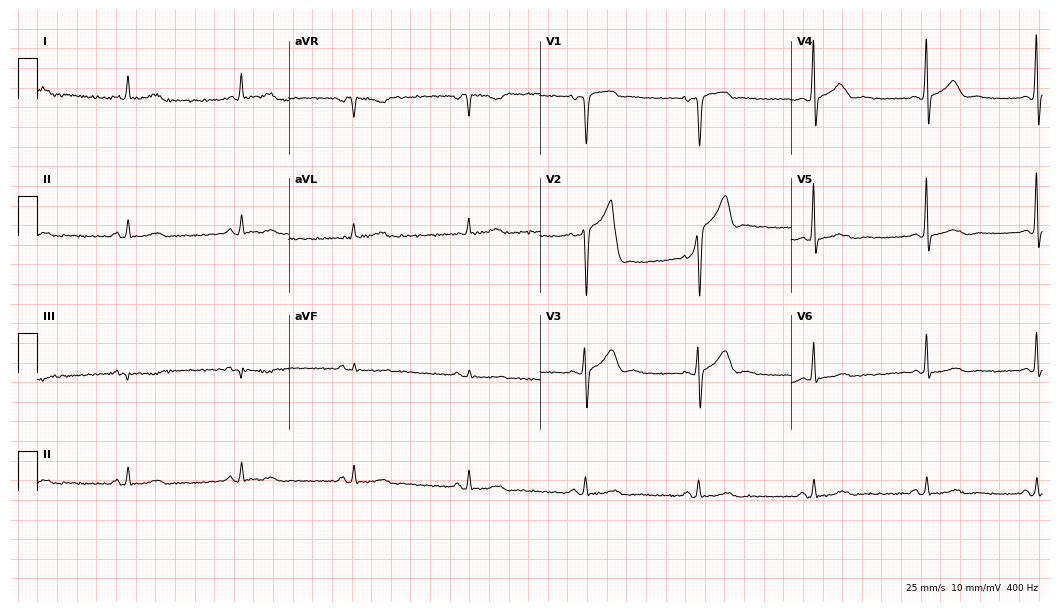
Electrocardiogram (10.2-second recording at 400 Hz), a 56-year-old male patient. Overall reading on record: normal ECG.